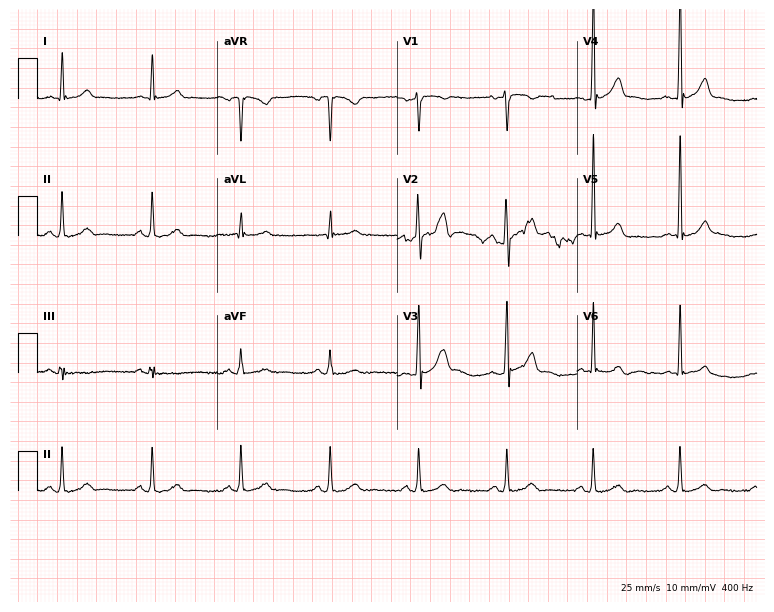
12-lead ECG from a 47-year-old male (7.3-second recording at 400 Hz). Recorded interpretation: within normal limits.